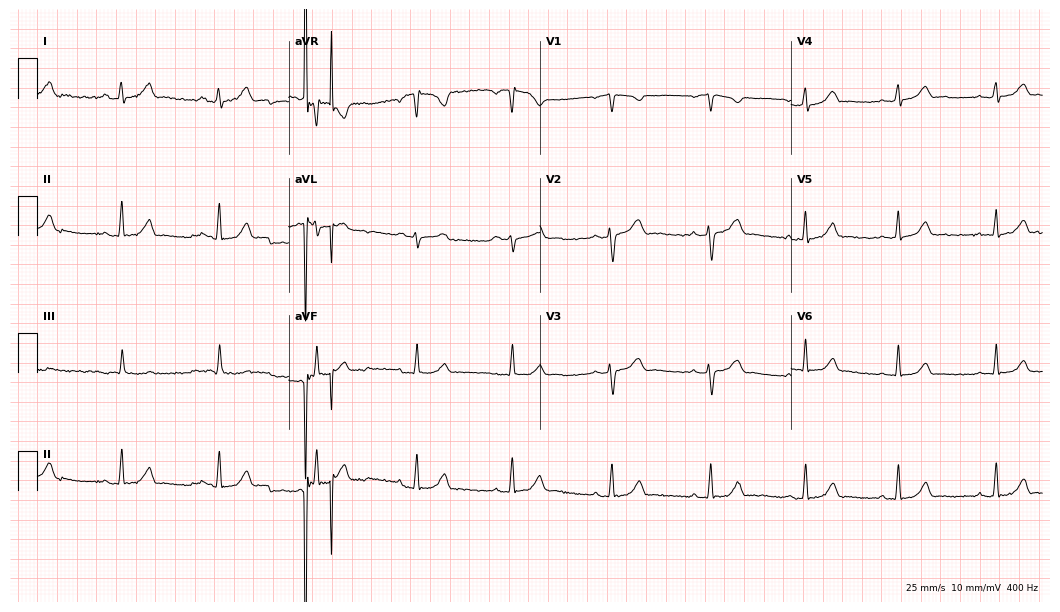
12-lead ECG (10.2-second recording at 400 Hz) from a 17-year-old female patient. Screened for six findings — first-degree AV block, right bundle branch block, left bundle branch block, sinus bradycardia, atrial fibrillation, sinus tachycardia — none is recorded. Only these six findings were labelled.